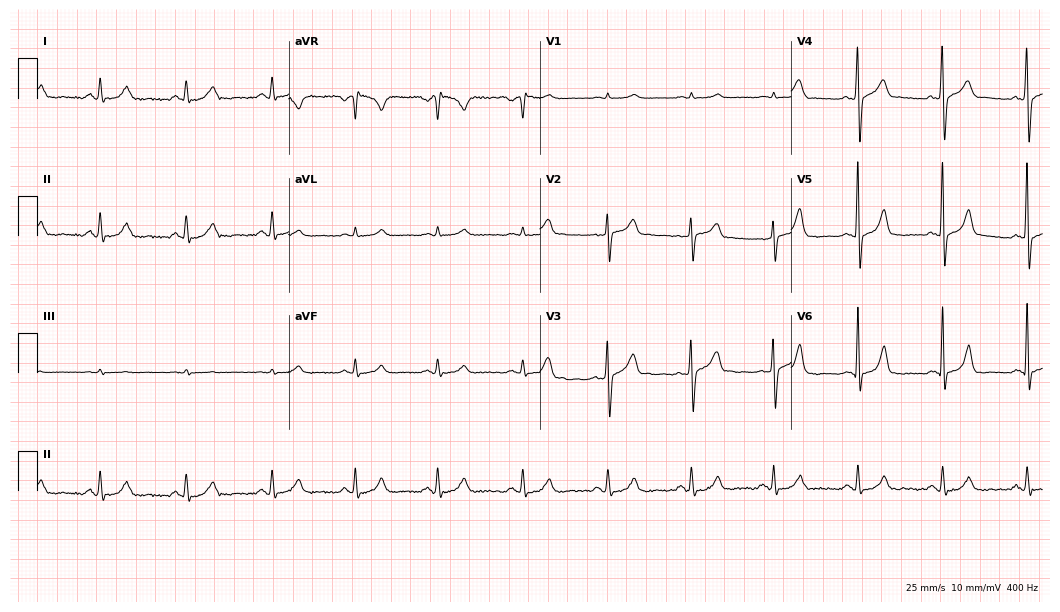
Resting 12-lead electrocardiogram. Patient: a 56-year-old man. Read as a normal ECG.